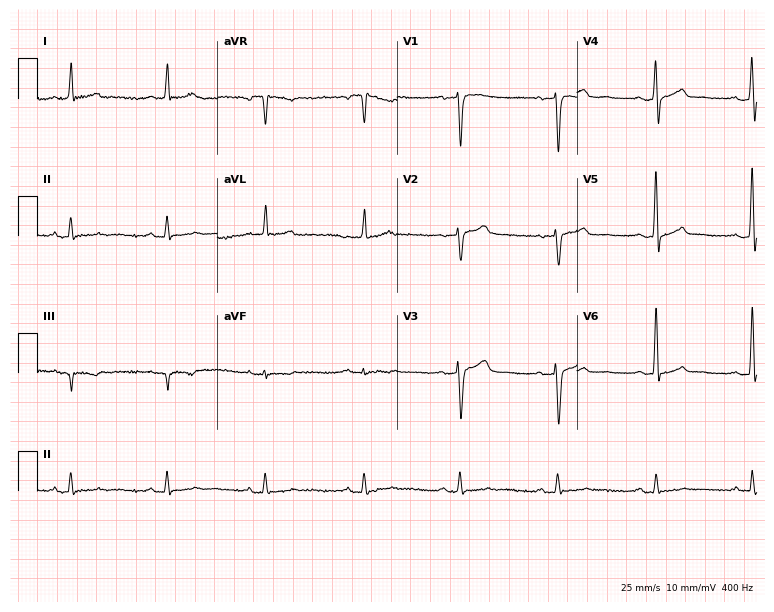
12-lead ECG from a 57-year-old man (7.3-second recording at 400 Hz). No first-degree AV block, right bundle branch block (RBBB), left bundle branch block (LBBB), sinus bradycardia, atrial fibrillation (AF) or sinus tachycardia recorded for this tracing. Other findings, if any, are not listed.